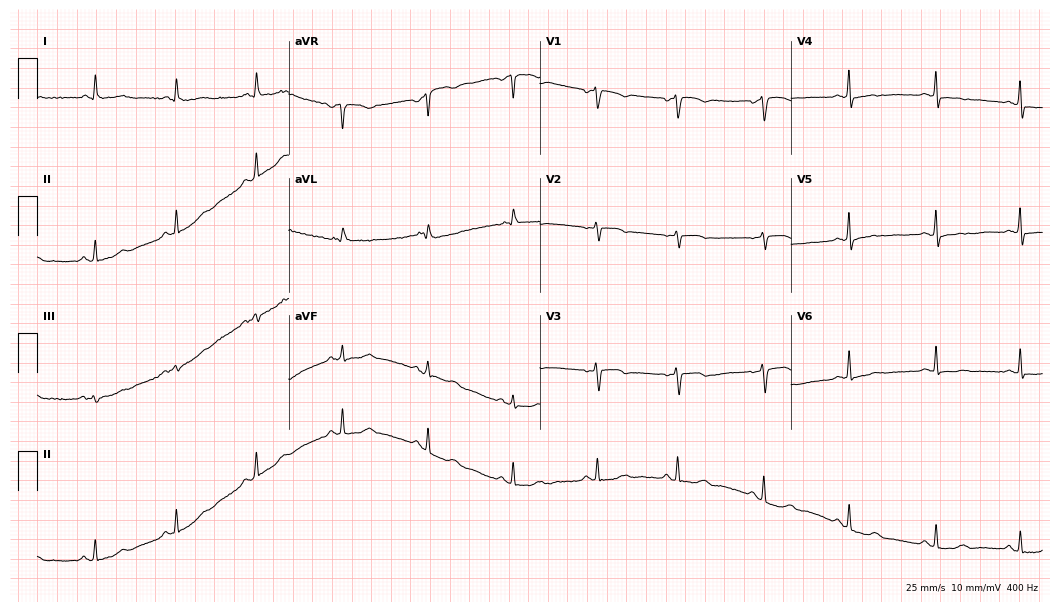
12-lead ECG from a 74-year-old woman (10.2-second recording at 400 Hz). No first-degree AV block, right bundle branch block, left bundle branch block, sinus bradycardia, atrial fibrillation or sinus tachycardia recorded for this tracing.